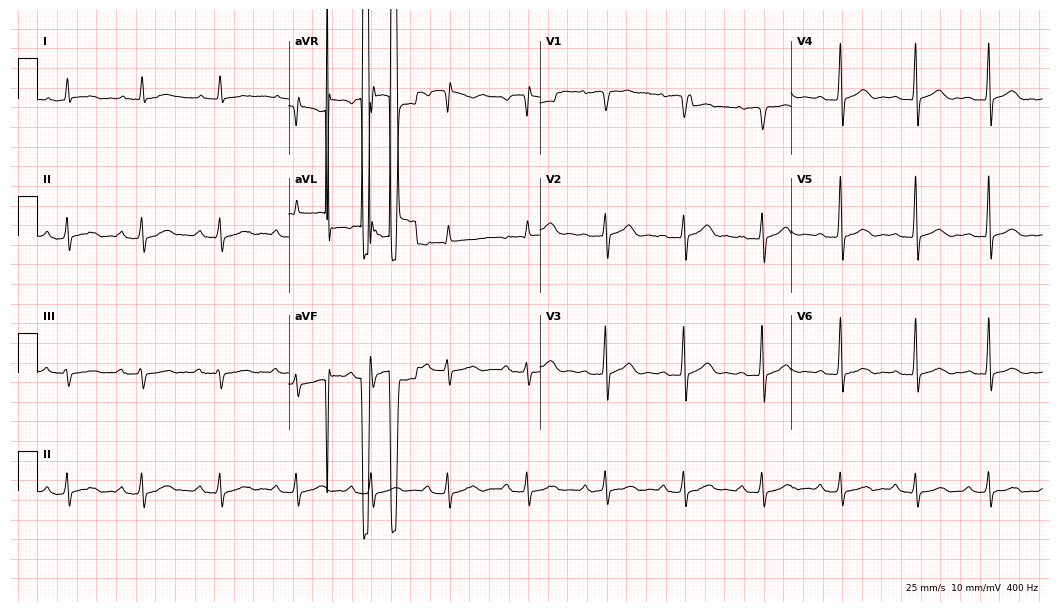
12-lead ECG from a male, 62 years old. Findings include first-degree AV block.